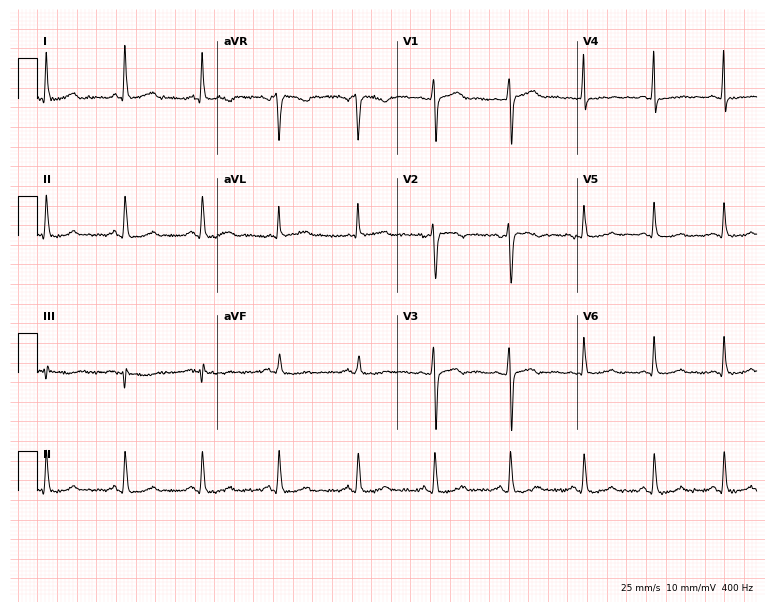
Electrocardiogram (7.3-second recording at 400 Hz), a woman, 34 years old. Of the six screened findings (first-degree AV block, right bundle branch block, left bundle branch block, sinus bradycardia, atrial fibrillation, sinus tachycardia), none is recorded.